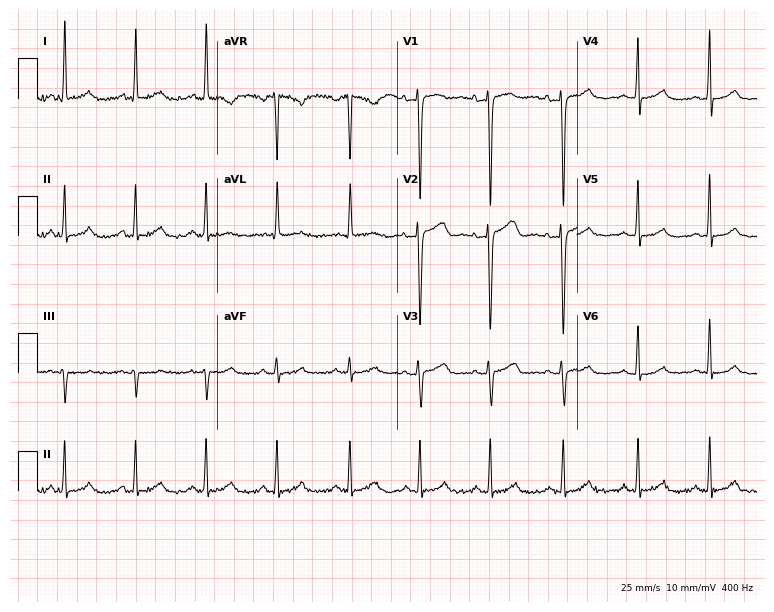
ECG (7.3-second recording at 400 Hz) — a 43-year-old female patient. Labelled as a normal ECG.